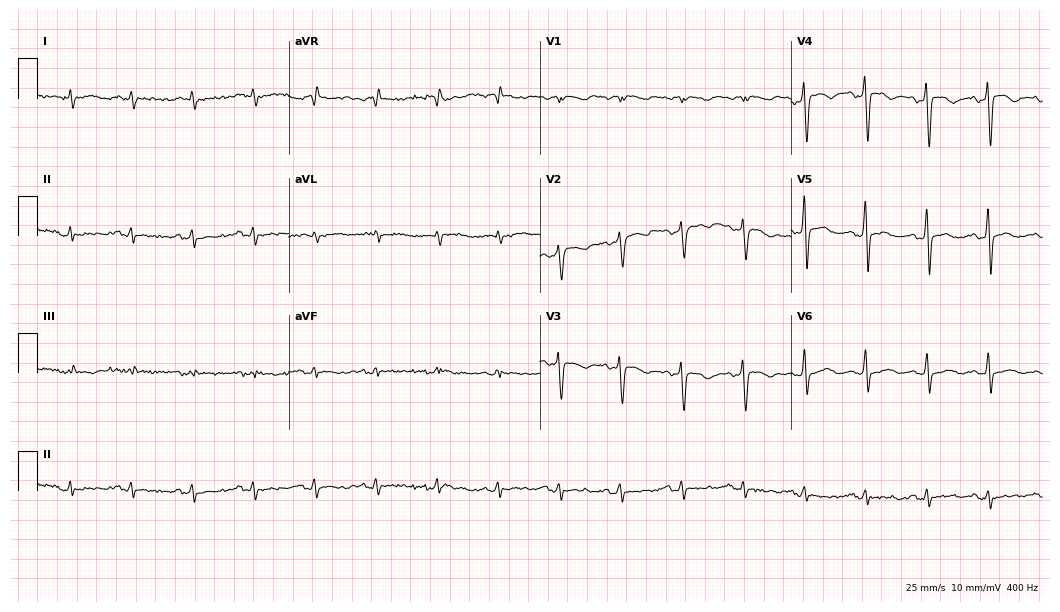
12-lead ECG from a woman, 74 years old. No first-degree AV block, right bundle branch block (RBBB), left bundle branch block (LBBB), sinus bradycardia, atrial fibrillation (AF) or sinus tachycardia recorded for this tracing. Only these six findings were labelled.